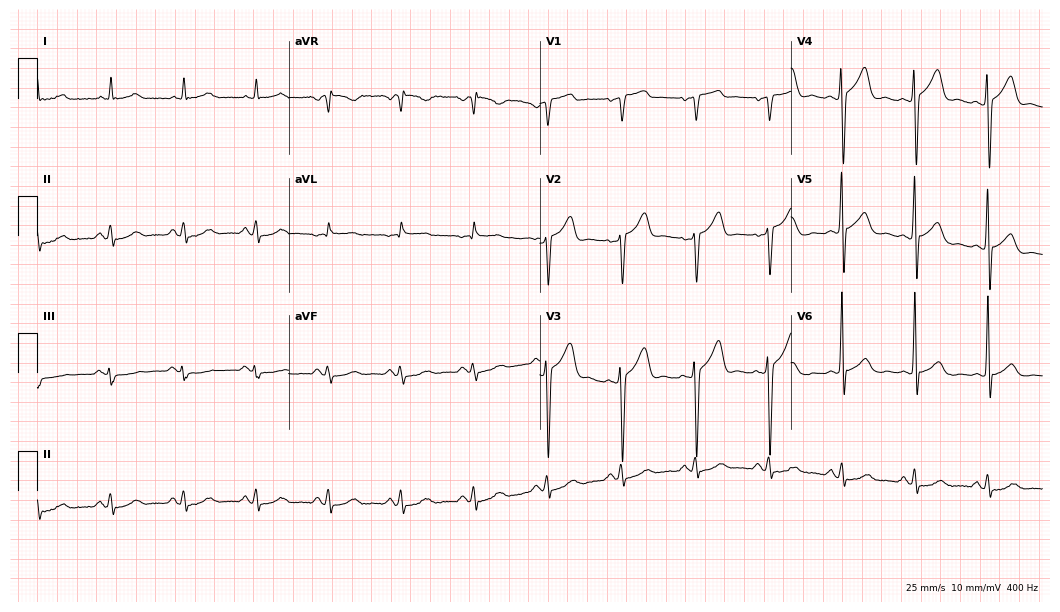
12-lead ECG from a 67-year-old male. No first-degree AV block, right bundle branch block, left bundle branch block, sinus bradycardia, atrial fibrillation or sinus tachycardia recorded for this tracing.